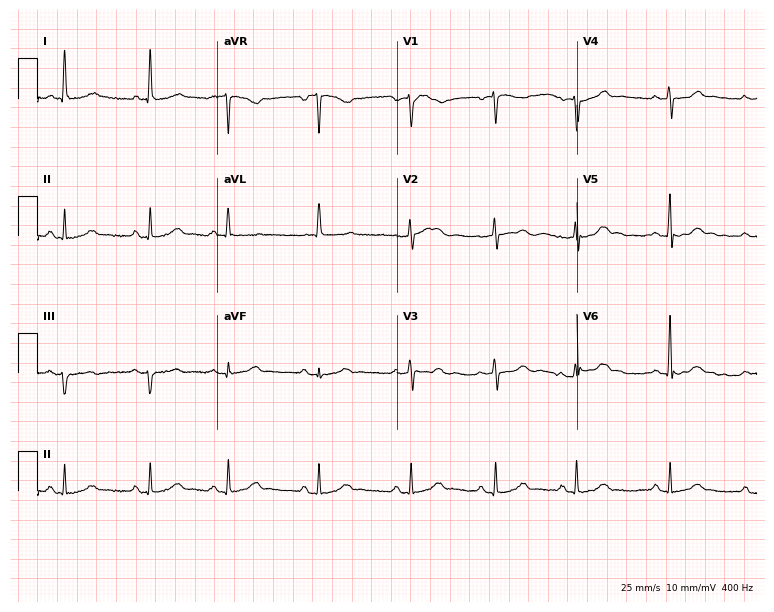
Resting 12-lead electrocardiogram (7.3-second recording at 400 Hz). Patient: a 74-year-old woman. Read as a normal ECG.